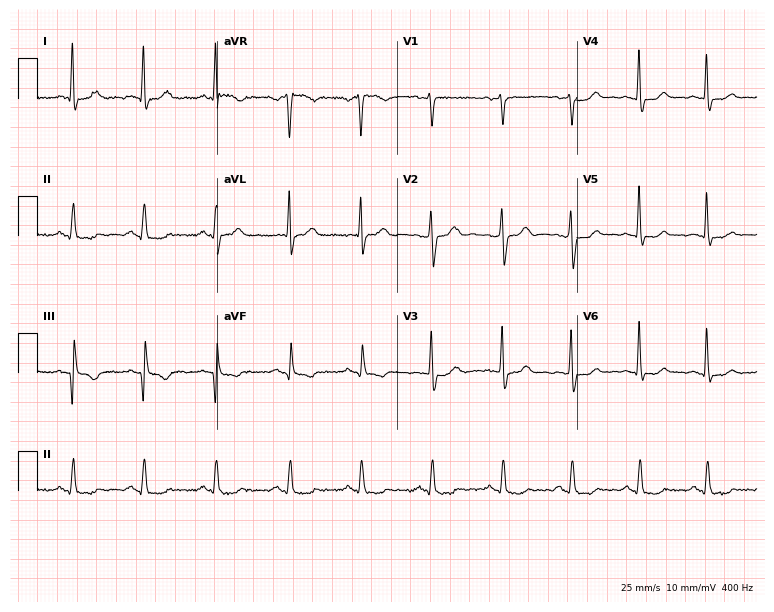
12-lead ECG from a male, 54 years old. No first-degree AV block, right bundle branch block (RBBB), left bundle branch block (LBBB), sinus bradycardia, atrial fibrillation (AF) or sinus tachycardia recorded for this tracing. Findings outside these six are not listed.